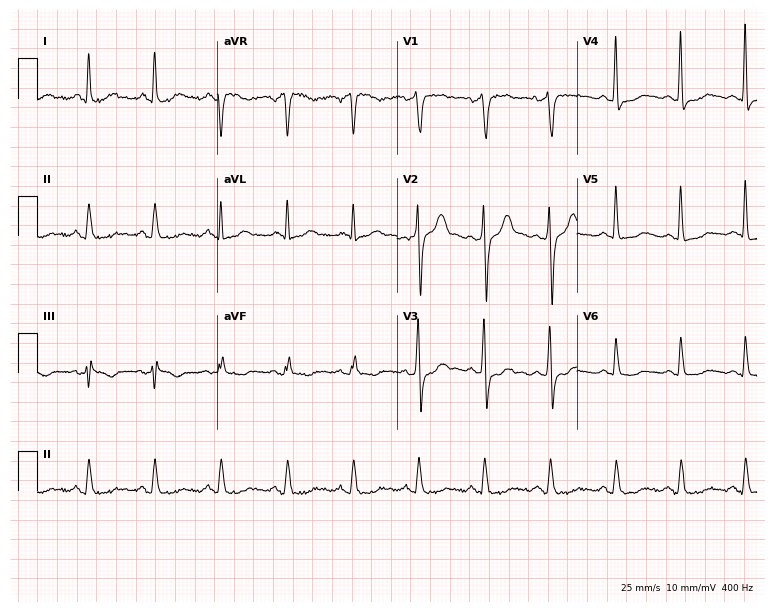
12-lead ECG (7.3-second recording at 400 Hz) from a man, 50 years old. Screened for six findings — first-degree AV block, right bundle branch block (RBBB), left bundle branch block (LBBB), sinus bradycardia, atrial fibrillation (AF), sinus tachycardia — none is recorded. Other findings, if any, are not listed.